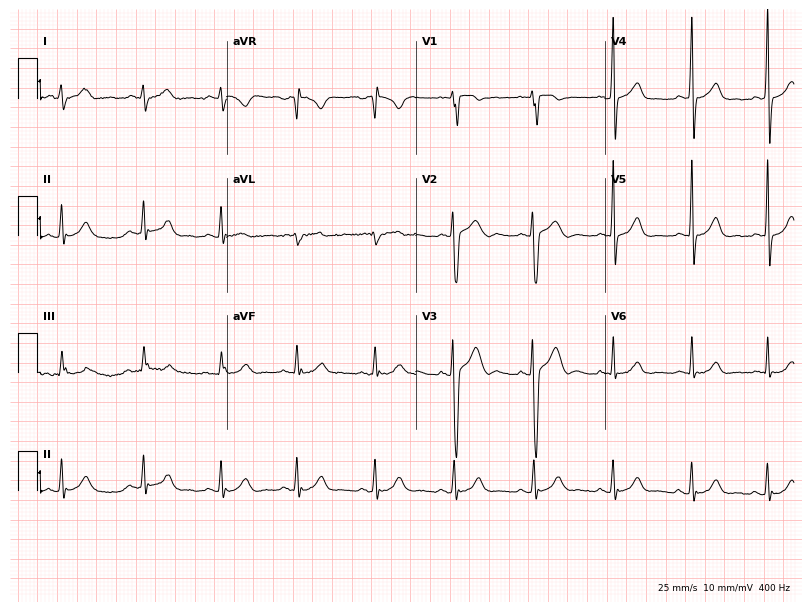
12-lead ECG from a male patient, 18 years old (7.7-second recording at 400 Hz). Recorded interpretation: within normal limits.